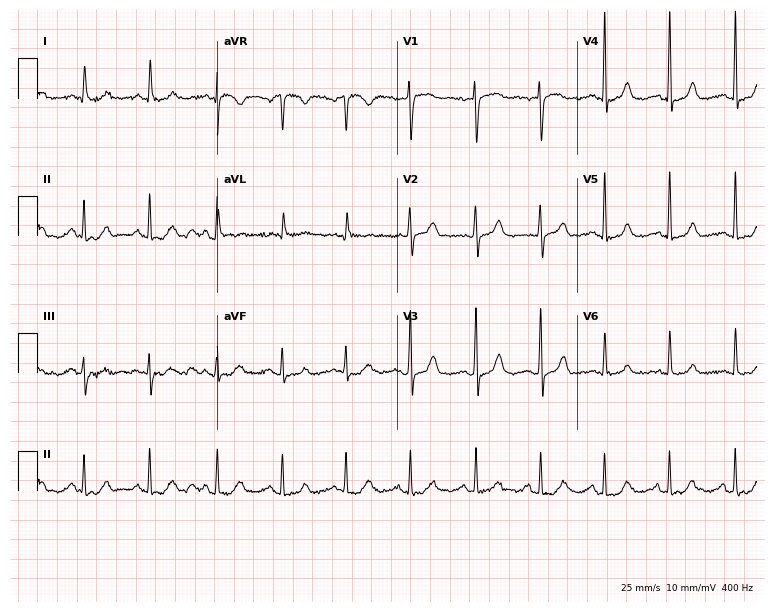
12-lead ECG (7.3-second recording at 400 Hz) from a female, 75 years old. Screened for six findings — first-degree AV block, right bundle branch block, left bundle branch block, sinus bradycardia, atrial fibrillation, sinus tachycardia — none is recorded. Findings outside these six are not listed.